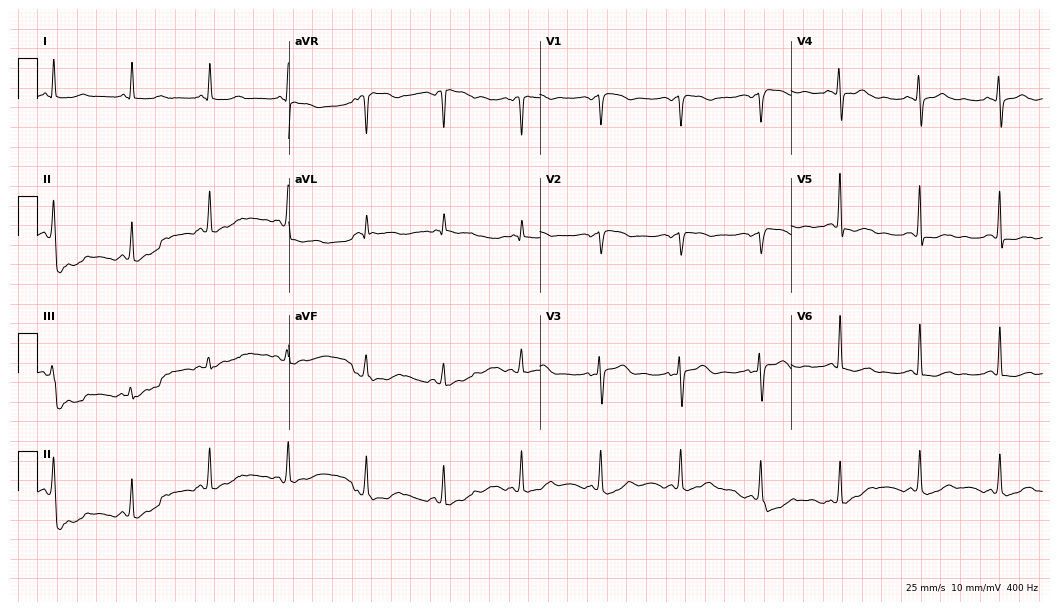
12-lead ECG from a 72-year-old female. Screened for six findings — first-degree AV block, right bundle branch block (RBBB), left bundle branch block (LBBB), sinus bradycardia, atrial fibrillation (AF), sinus tachycardia — none is recorded. Findings outside these six are not listed.